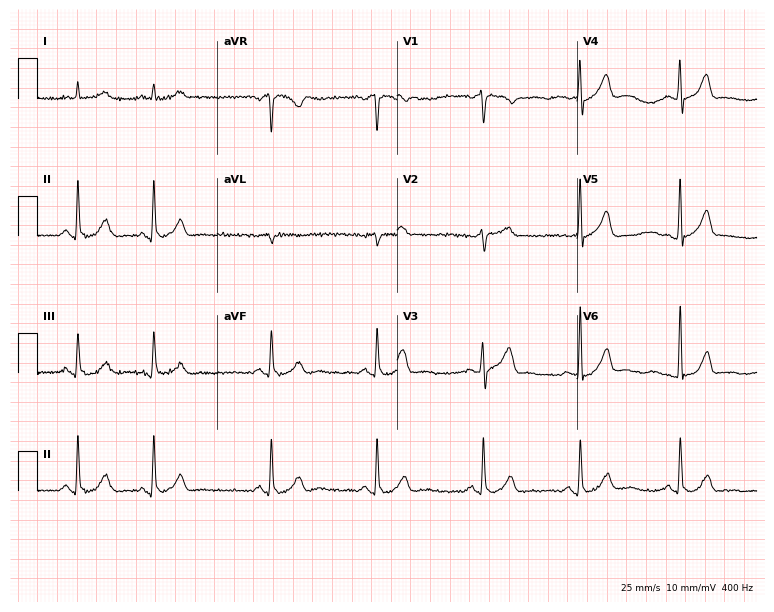
Resting 12-lead electrocardiogram (7.3-second recording at 400 Hz). Patient: a 62-year-old male. Read as a normal ECG.